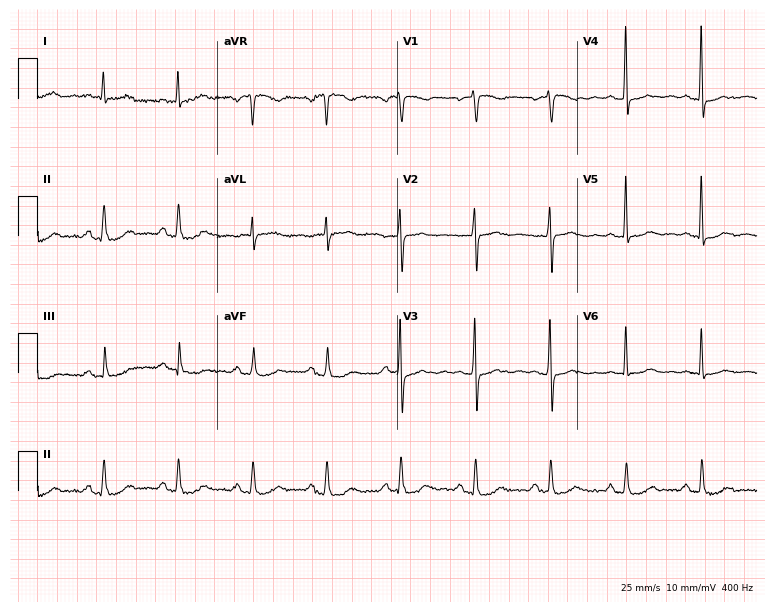
12-lead ECG (7.3-second recording at 400 Hz) from a 65-year-old female. Labelled as a normal ECG.